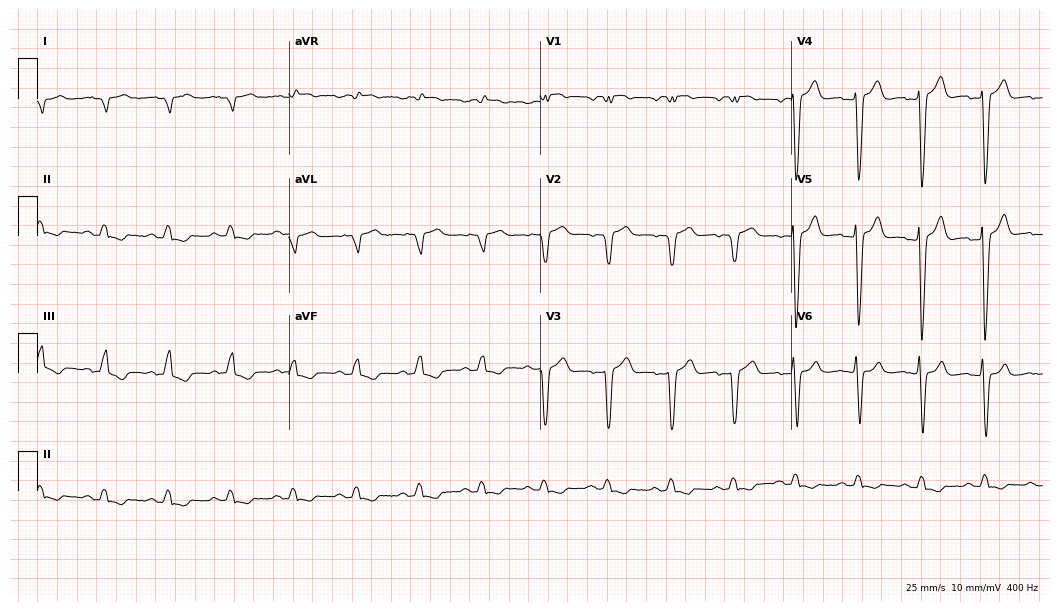
ECG — a 75-year-old man. Screened for six findings — first-degree AV block, right bundle branch block (RBBB), left bundle branch block (LBBB), sinus bradycardia, atrial fibrillation (AF), sinus tachycardia — none is recorded. Other findings, if any, are not listed.